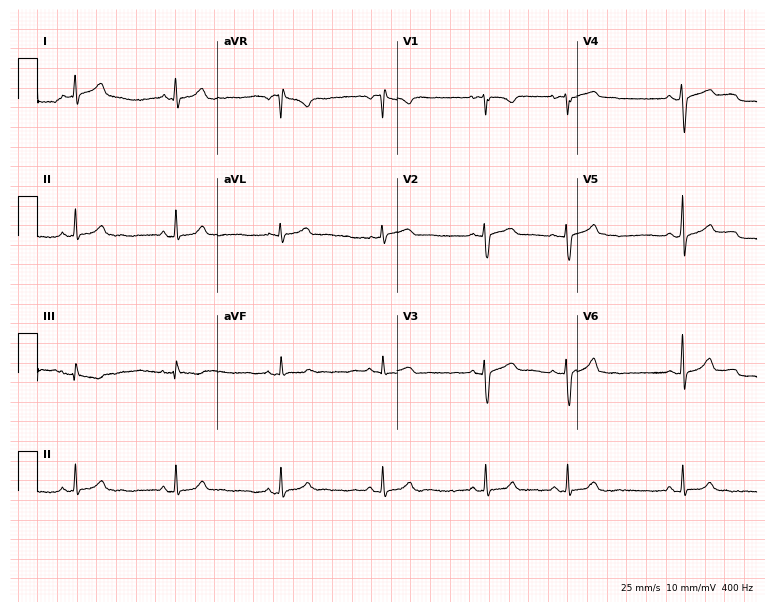
Standard 12-lead ECG recorded from an 18-year-old woman (7.3-second recording at 400 Hz). None of these six findings is recorded: first-degree AV block, right bundle branch block, left bundle branch block, sinus bradycardia, atrial fibrillation, sinus tachycardia.